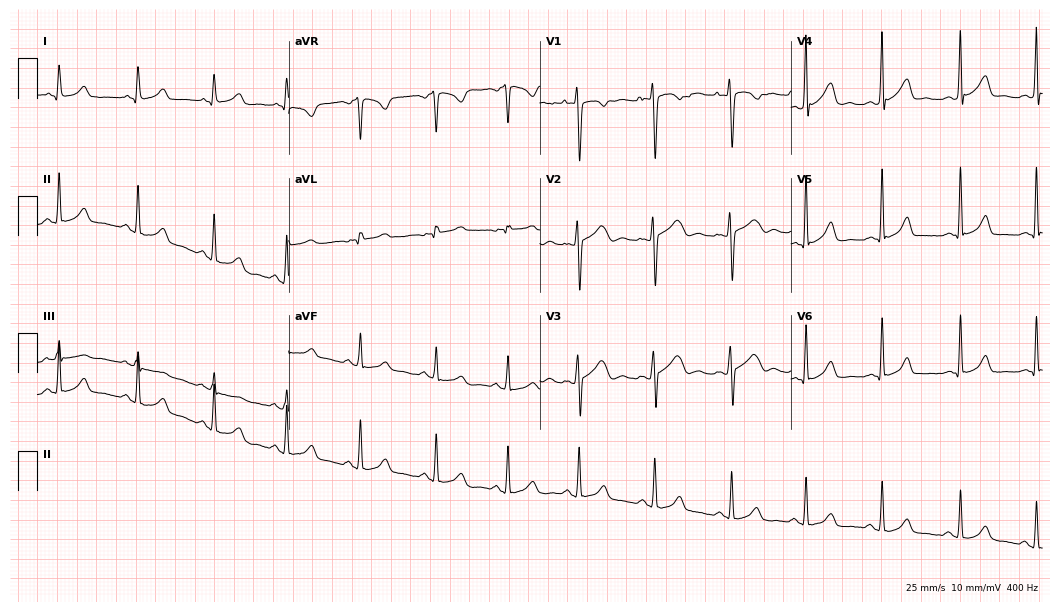
Electrocardiogram (10.2-second recording at 400 Hz), a 21-year-old woman. Overall reading on record: normal ECG.